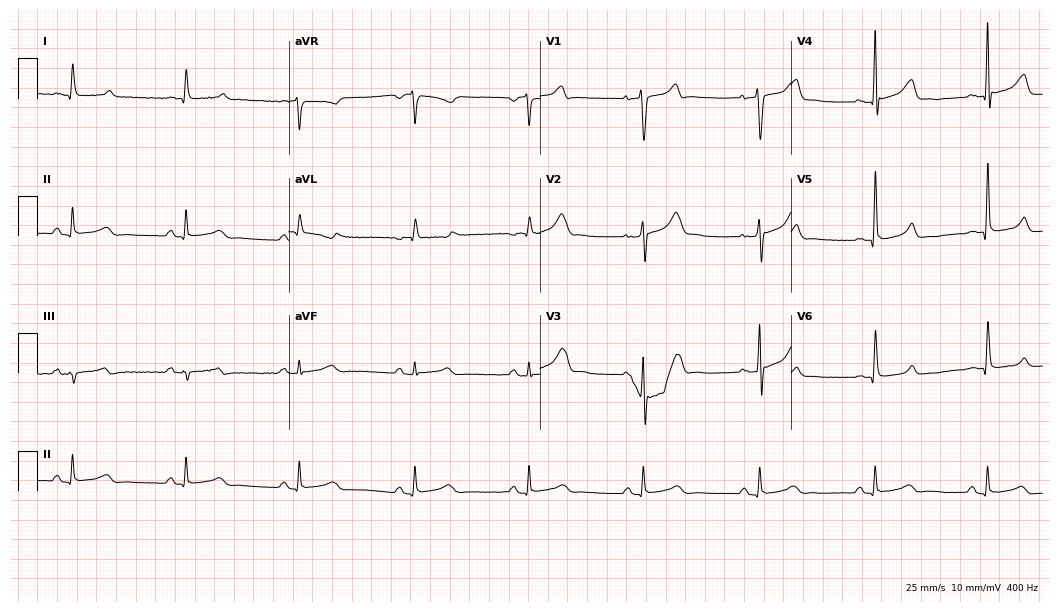
Resting 12-lead electrocardiogram. Patient: a 64-year-old male. Read as a normal ECG.